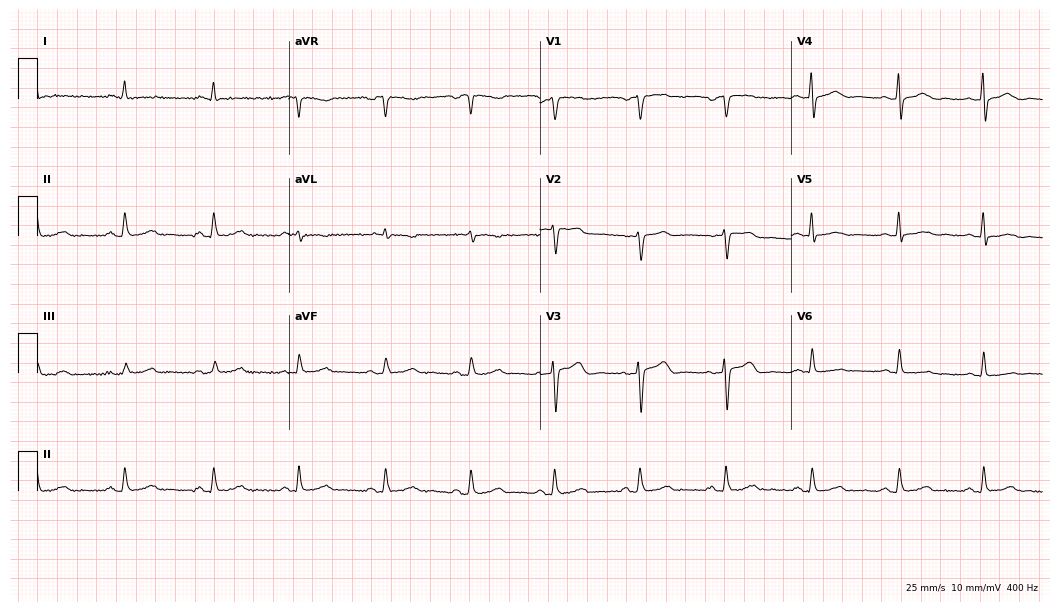
Standard 12-lead ECG recorded from a woman, 79 years old. None of these six findings is recorded: first-degree AV block, right bundle branch block, left bundle branch block, sinus bradycardia, atrial fibrillation, sinus tachycardia. Findings outside these six are not listed.